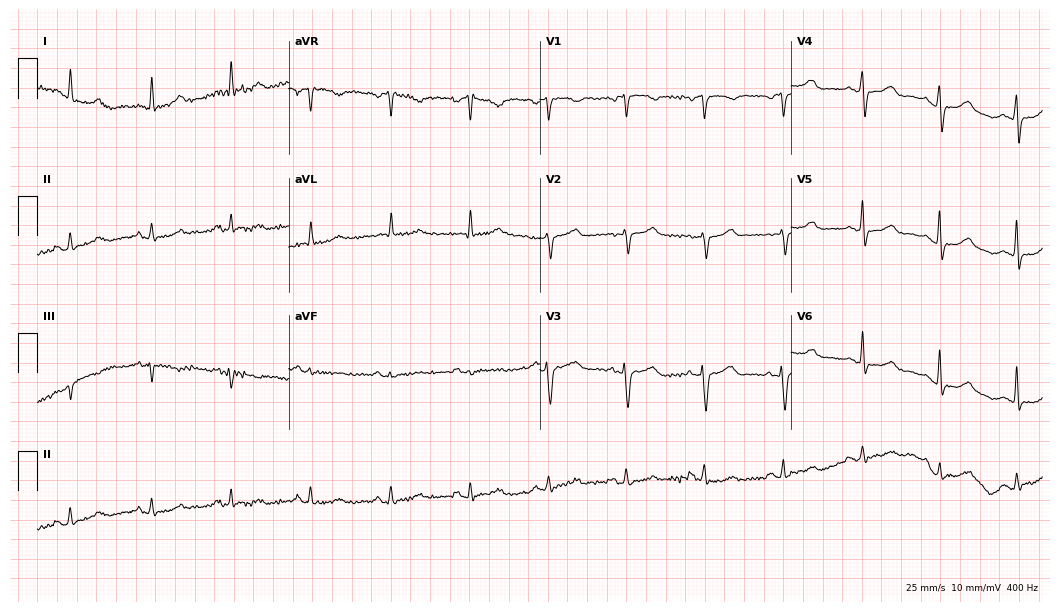
Standard 12-lead ECG recorded from a woman, 74 years old (10.2-second recording at 400 Hz). None of these six findings is recorded: first-degree AV block, right bundle branch block, left bundle branch block, sinus bradycardia, atrial fibrillation, sinus tachycardia.